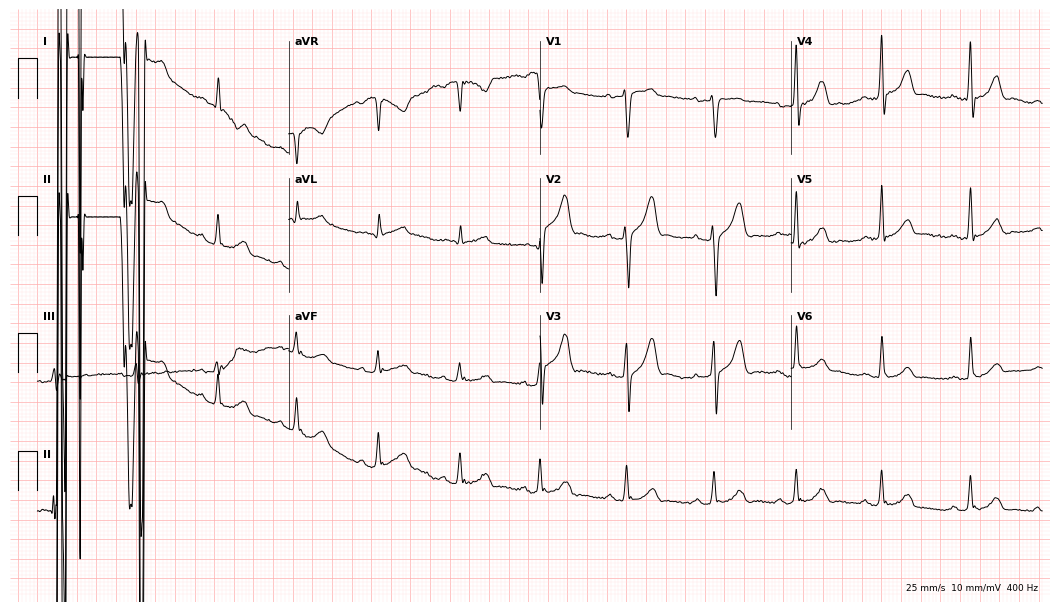
ECG (10.2-second recording at 400 Hz) — a male, 40 years old. Screened for six findings — first-degree AV block, right bundle branch block, left bundle branch block, sinus bradycardia, atrial fibrillation, sinus tachycardia — none is recorded. Findings outside these six are not listed.